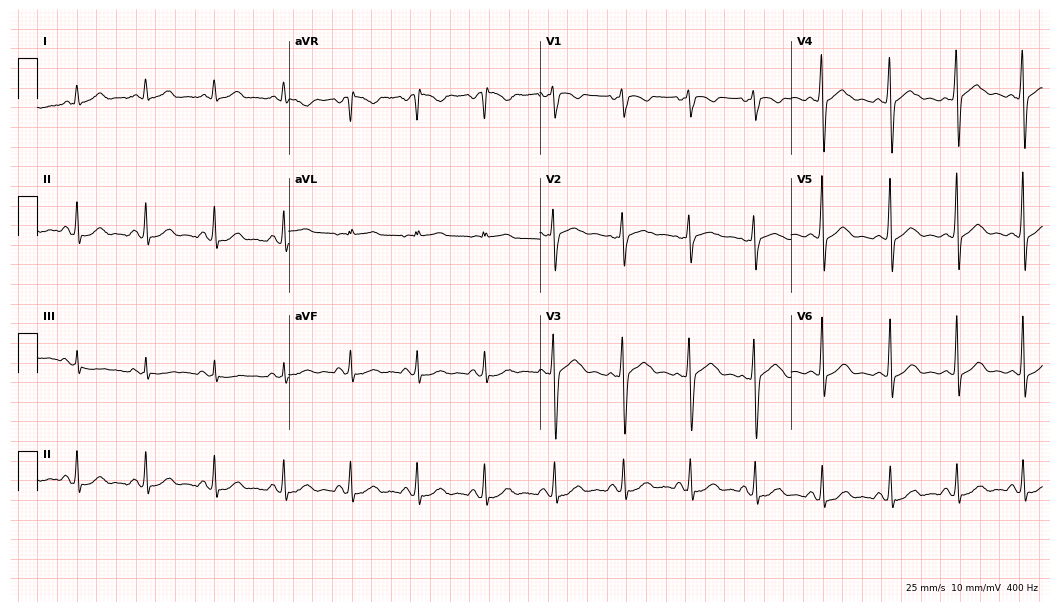
12-lead ECG from a female, 28 years old (10.2-second recording at 400 Hz). Recorded interpretation: within normal limits.